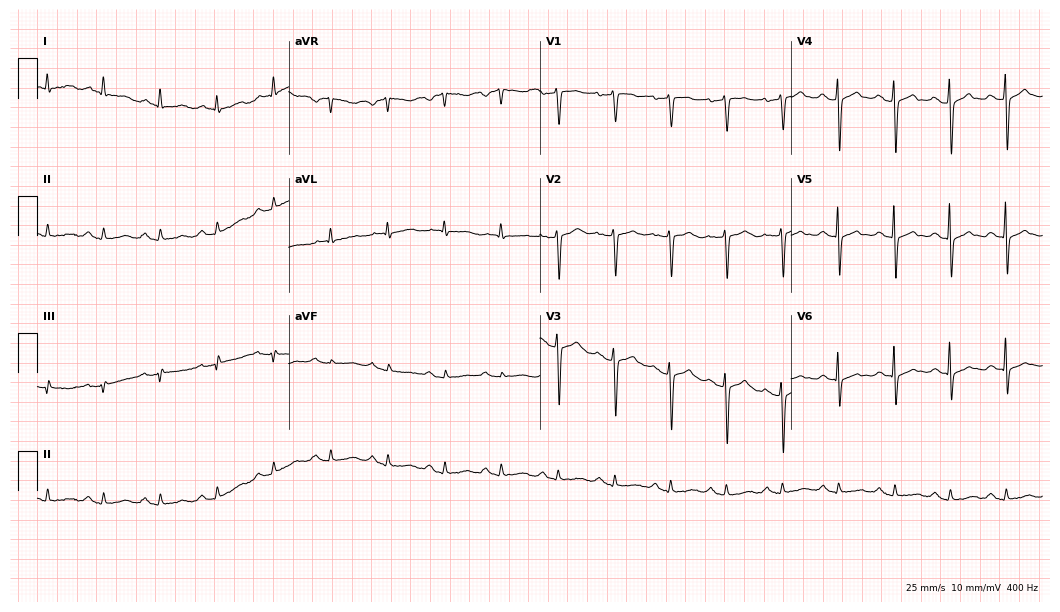
12-lead ECG (10.2-second recording at 400 Hz) from a 48-year-old woman. Findings include sinus tachycardia (a sinus rate of 100 beats per minute or more).